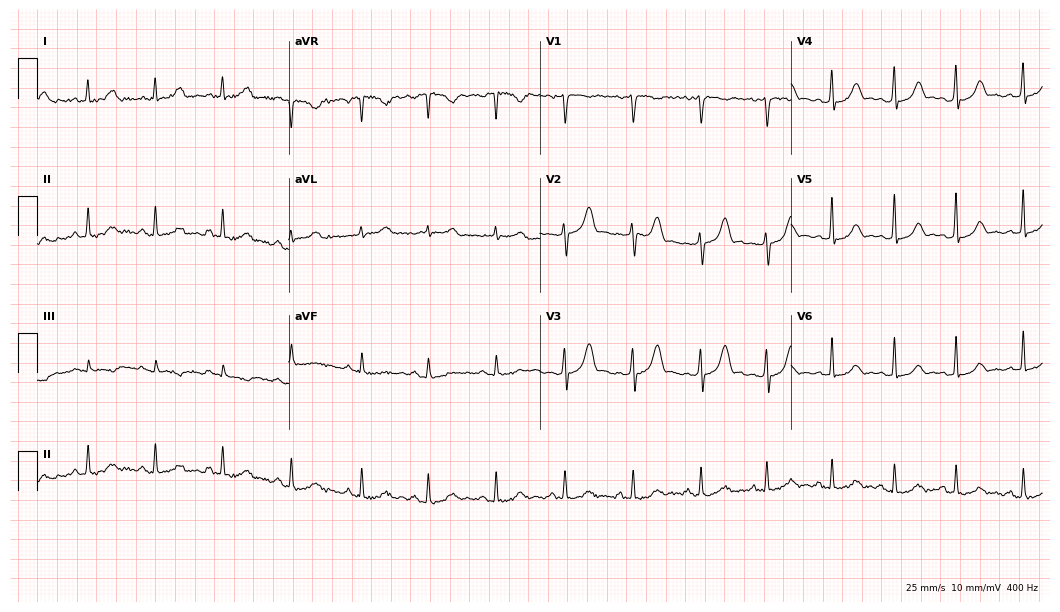
Standard 12-lead ECG recorded from a woman, 37 years old (10.2-second recording at 400 Hz). Read as a normal ECG.